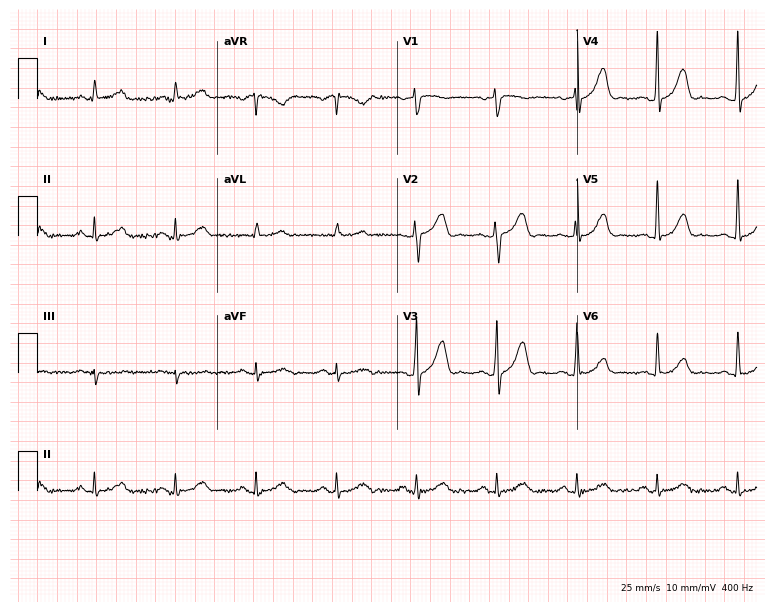
Resting 12-lead electrocardiogram (7.3-second recording at 400 Hz). Patient: a male, 65 years old. Read as a normal ECG.